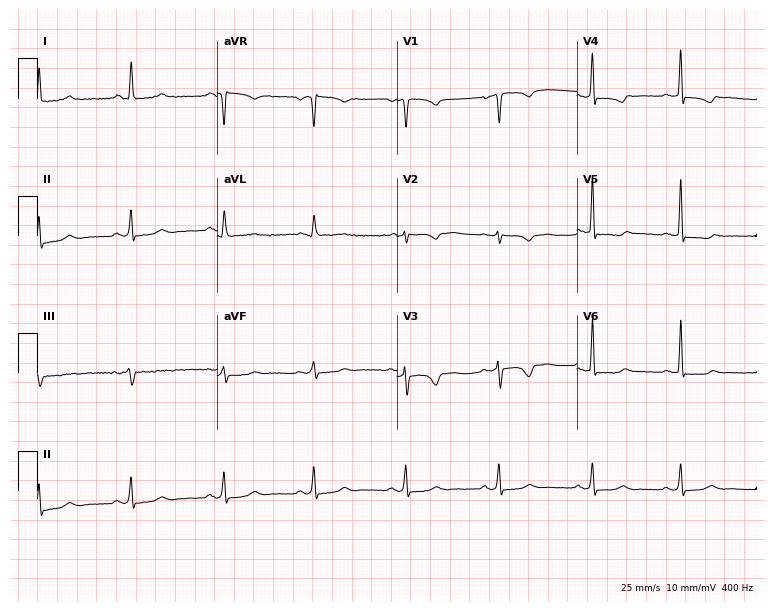
12-lead ECG from a female, 75 years old (7.3-second recording at 400 Hz). No first-degree AV block, right bundle branch block, left bundle branch block, sinus bradycardia, atrial fibrillation or sinus tachycardia recorded for this tracing. Other findings, if any, are not listed.